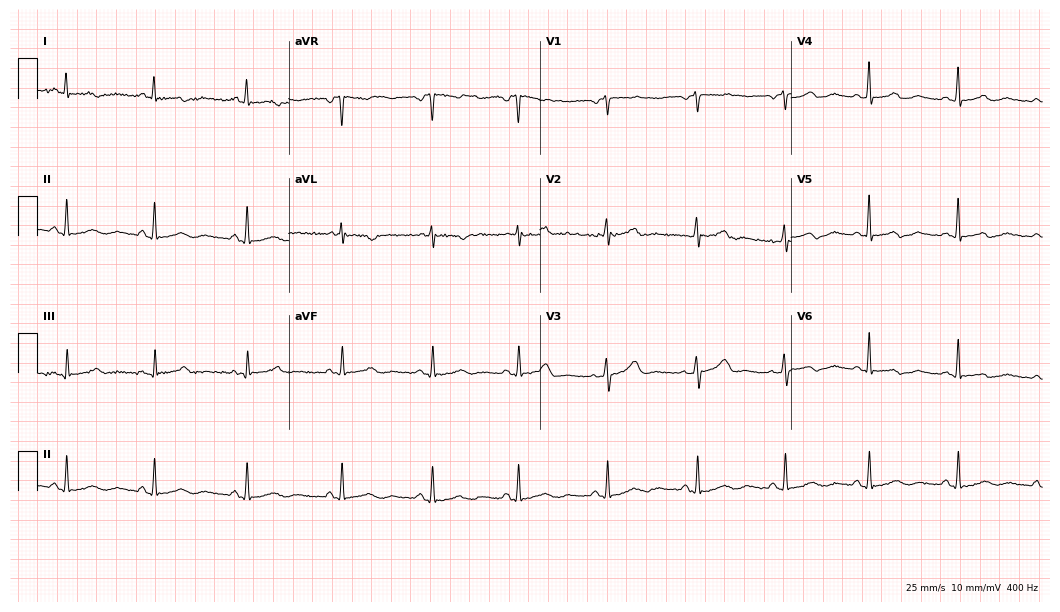
ECG — a 44-year-old female. Screened for six findings — first-degree AV block, right bundle branch block (RBBB), left bundle branch block (LBBB), sinus bradycardia, atrial fibrillation (AF), sinus tachycardia — none is recorded.